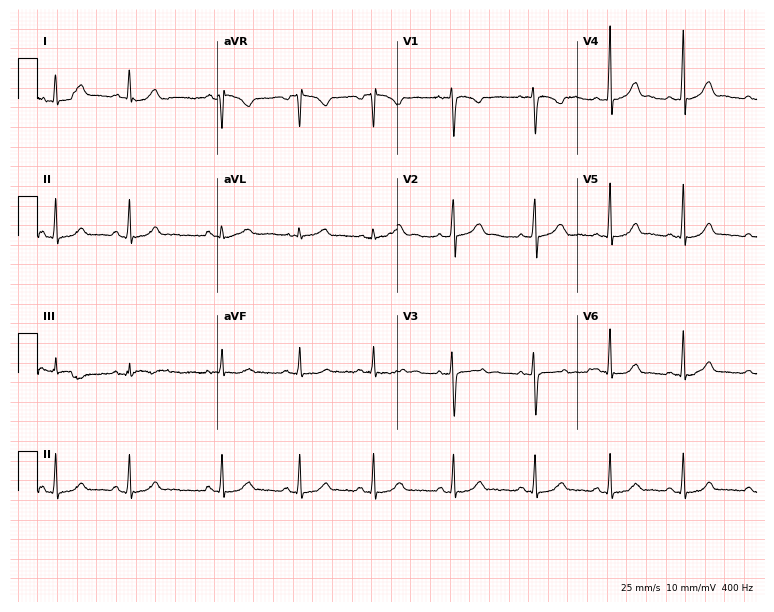
12-lead ECG (7.3-second recording at 400 Hz) from a 23-year-old female. Labelled as a normal ECG.